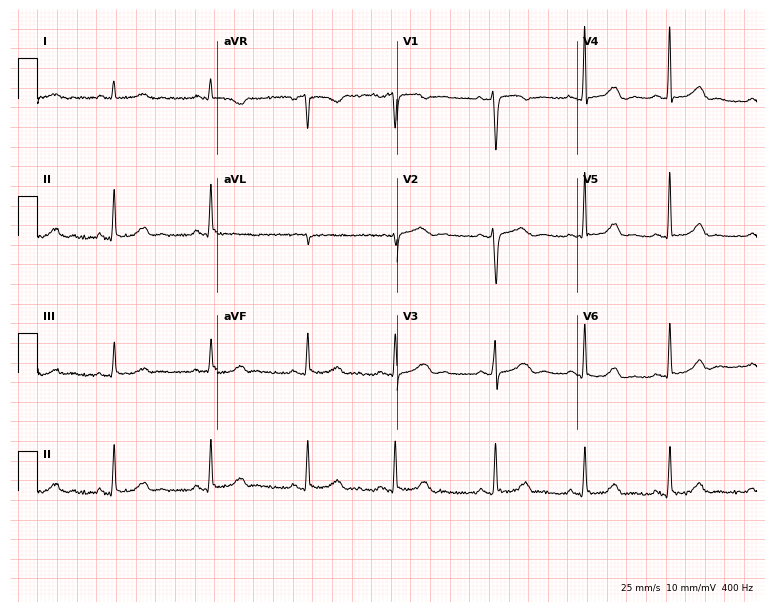
Standard 12-lead ECG recorded from a 53-year-old woman. Read as a normal ECG.